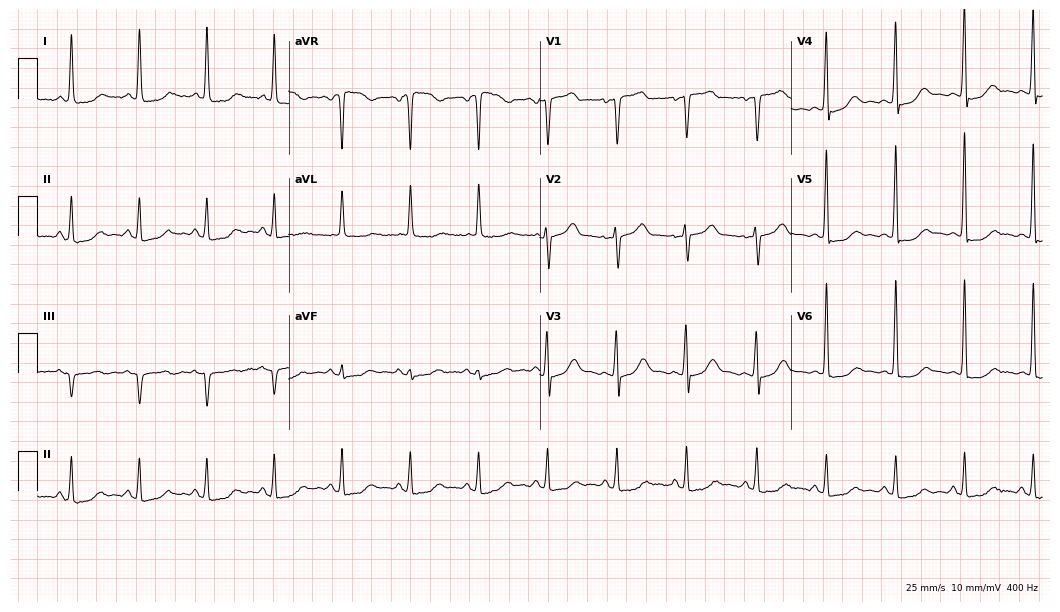
ECG — a 56-year-old female. Labelled as a normal ECG.